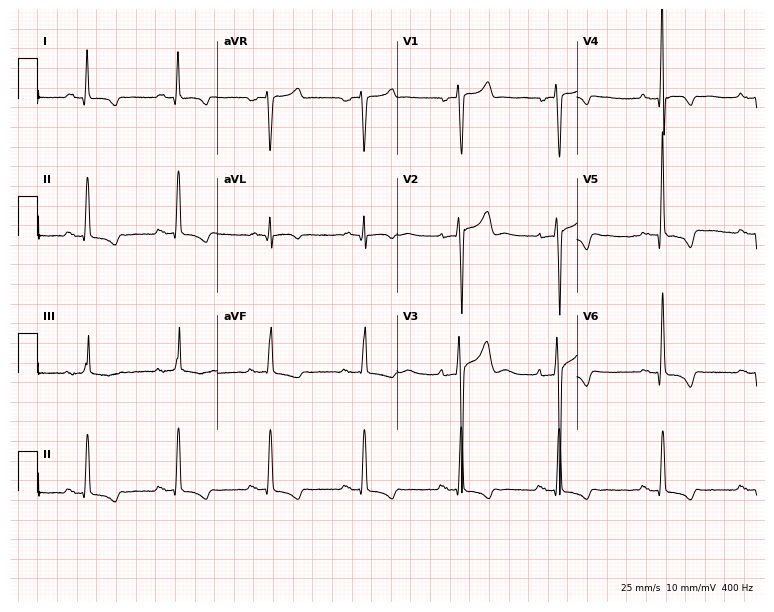
12-lead ECG from a 54-year-old male. No first-degree AV block, right bundle branch block, left bundle branch block, sinus bradycardia, atrial fibrillation or sinus tachycardia recorded for this tracing.